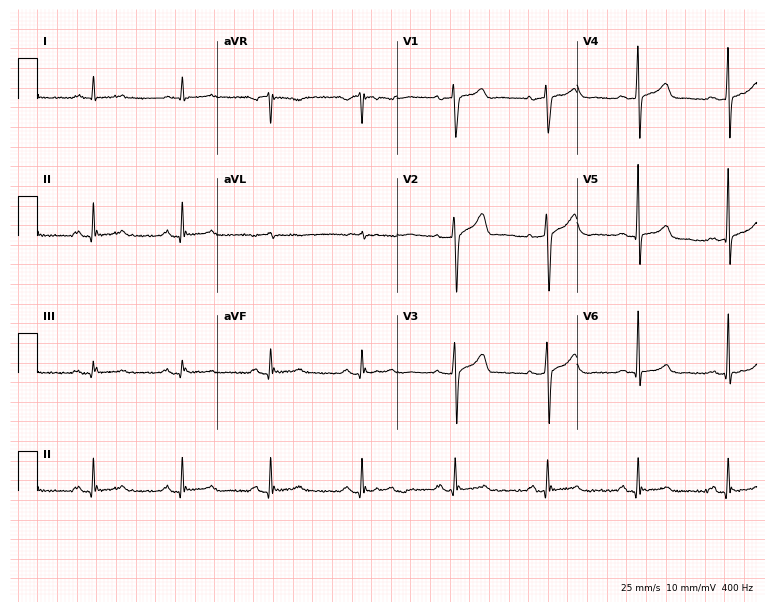
Electrocardiogram (7.3-second recording at 400 Hz), a 60-year-old male. Overall reading on record: normal ECG.